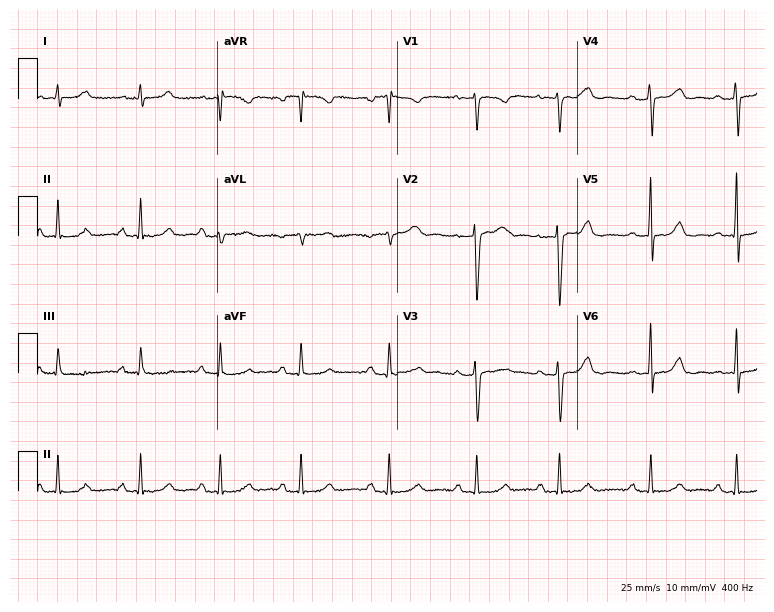
12-lead ECG from a female, 46 years old. No first-degree AV block, right bundle branch block (RBBB), left bundle branch block (LBBB), sinus bradycardia, atrial fibrillation (AF) or sinus tachycardia recorded for this tracing. Findings outside these six are not listed.